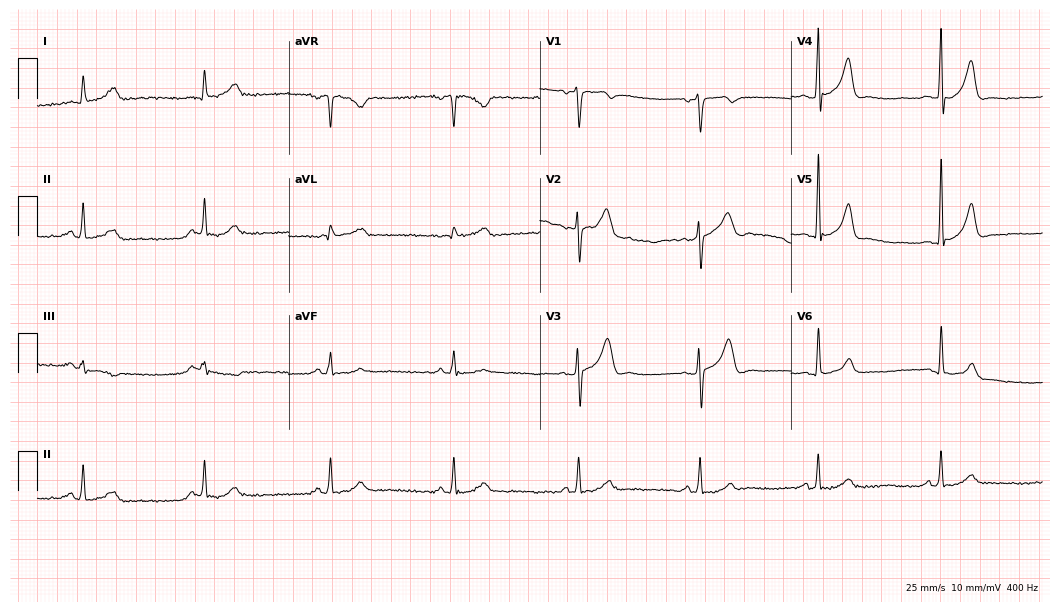
ECG (10.2-second recording at 400 Hz) — a 48-year-old man. Screened for six findings — first-degree AV block, right bundle branch block (RBBB), left bundle branch block (LBBB), sinus bradycardia, atrial fibrillation (AF), sinus tachycardia — none is recorded.